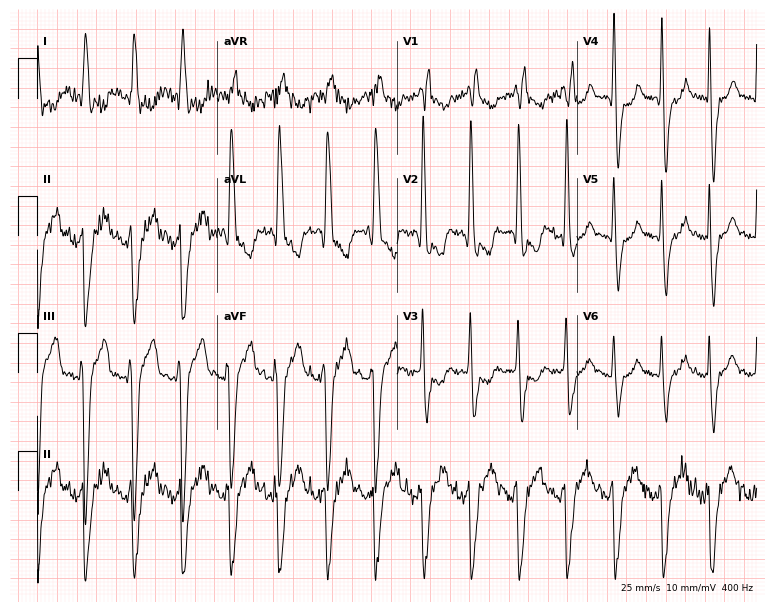
12-lead ECG (7.3-second recording at 400 Hz) from a 62-year-old female. Screened for six findings — first-degree AV block, right bundle branch block, left bundle branch block, sinus bradycardia, atrial fibrillation, sinus tachycardia — none is recorded.